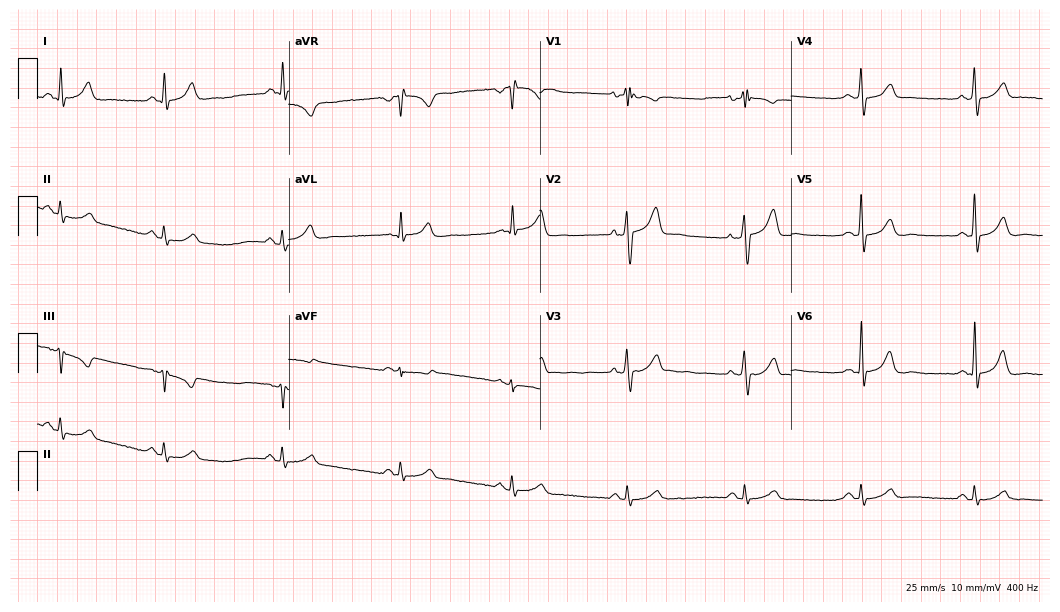
Standard 12-lead ECG recorded from a 44-year-old male patient (10.2-second recording at 400 Hz). None of these six findings is recorded: first-degree AV block, right bundle branch block (RBBB), left bundle branch block (LBBB), sinus bradycardia, atrial fibrillation (AF), sinus tachycardia. Other findings, if any, are not listed.